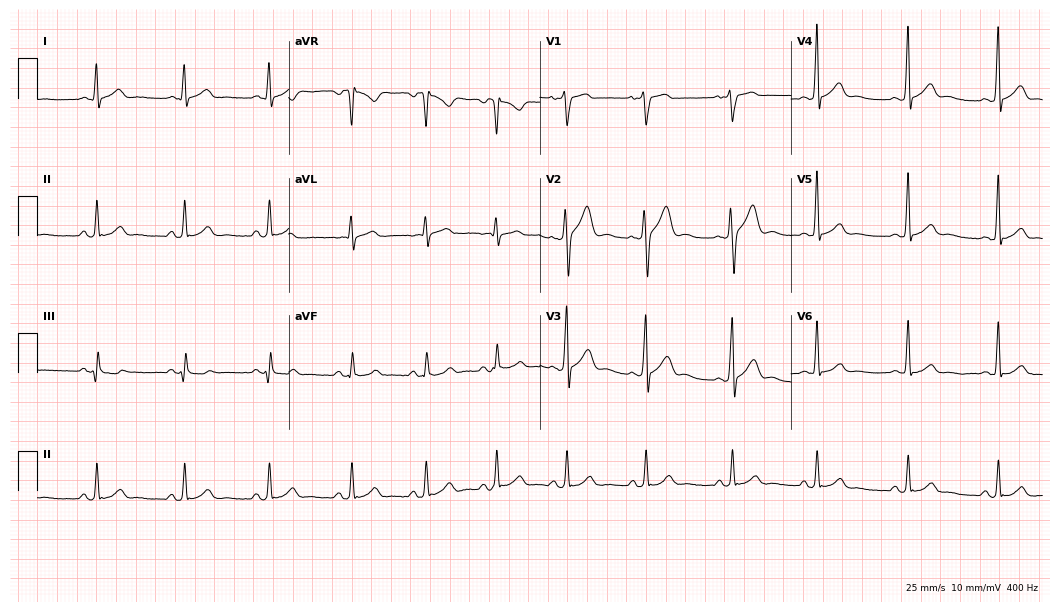
Resting 12-lead electrocardiogram (10.2-second recording at 400 Hz). Patient: a 23-year-old male. None of these six findings is recorded: first-degree AV block, right bundle branch block, left bundle branch block, sinus bradycardia, atrial fibrillation, sinus tachycardia. Only these six findings were labelled.